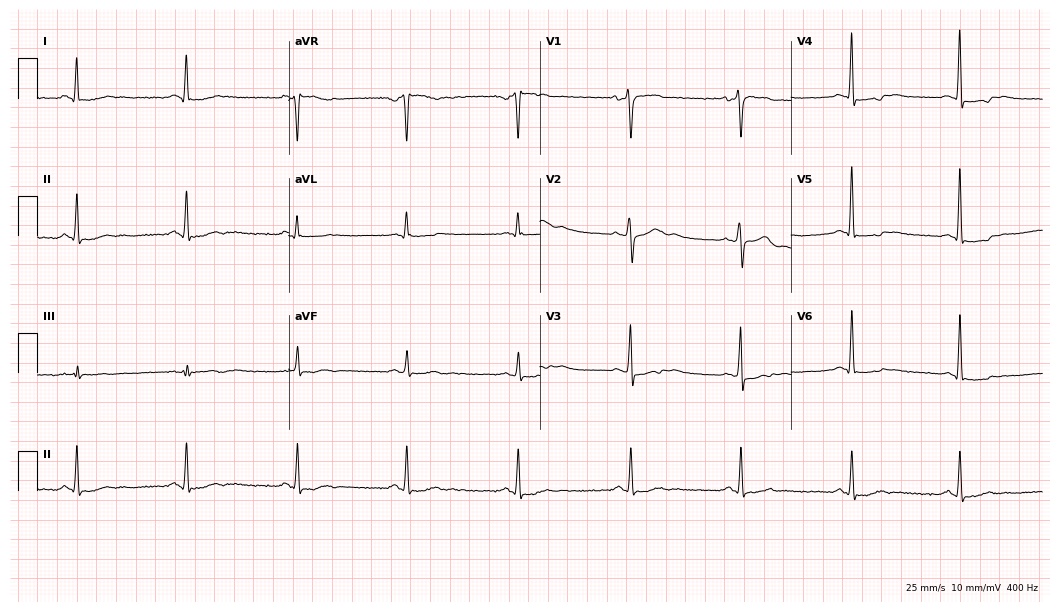
Electrocardiogram (10.2-second recording at 400 Hz), a male patient, 53 years old. Of the six screened findings (first-degree AV block, right bundle branch block (RBBB), left bundle branch block (LBBB), sinus bradycardia, atrial fibrillation (AF), sinus tachycardia), none is recorded.